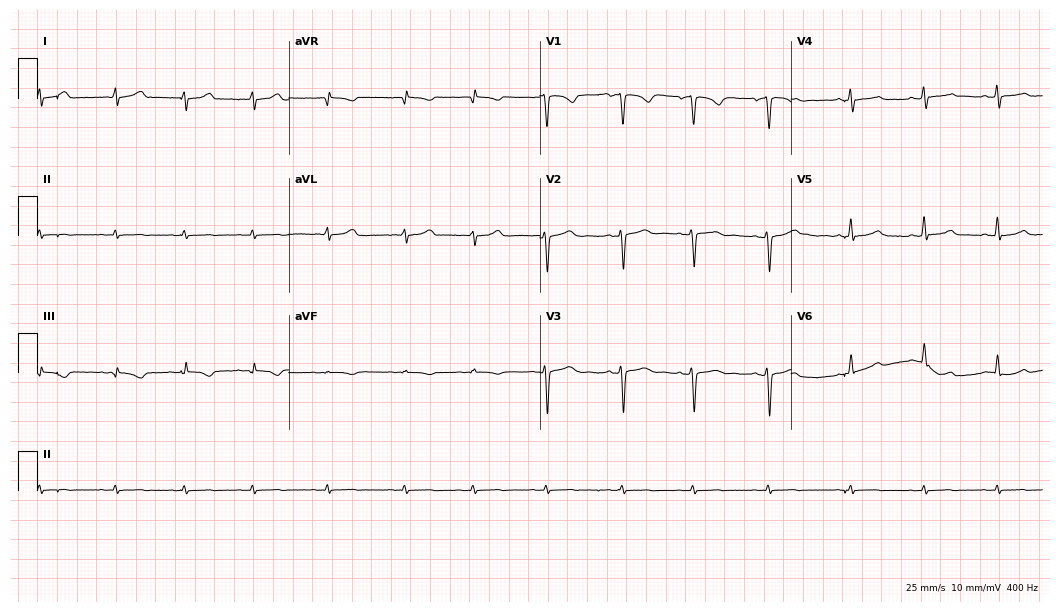
Electrocardiogram (10.2-second recording at 400 Hz), a female, 29 years old. Of the six screened findings (first-degree AV block, right bundle branch block, left bundle branch block, sinus bradycardia, atrial fibrillation, sinus tachycardia), none is recorded. Only these six findings were labelled.